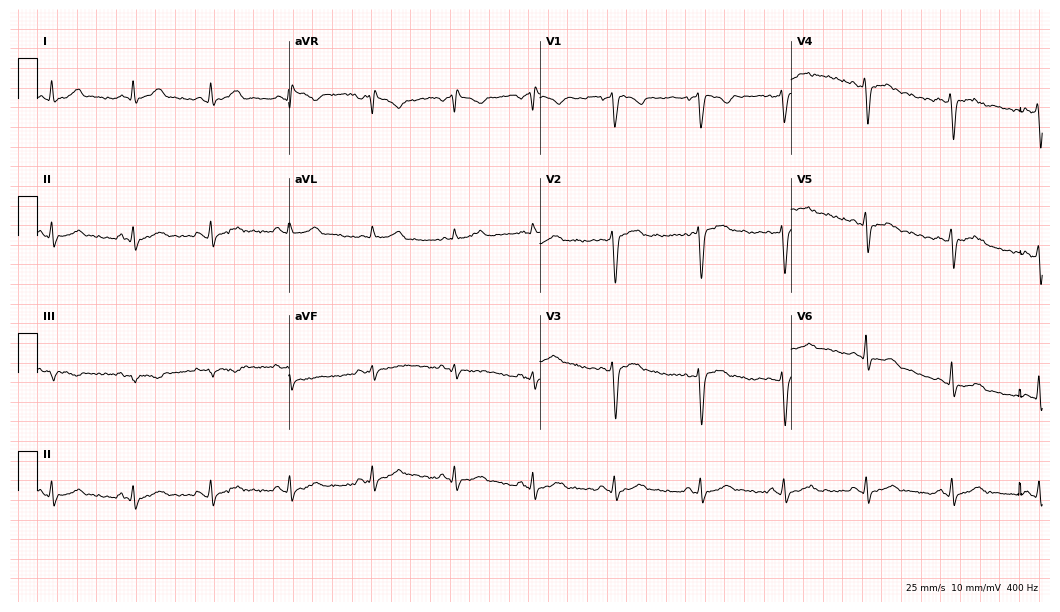
12-lead ECG from a man, 21 years old. Recorded interpretation: within normal limits.